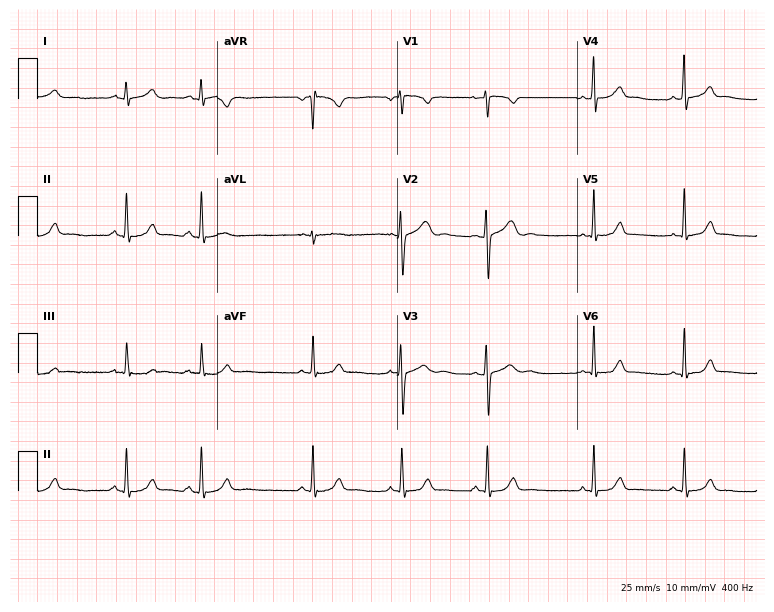
Resting 12-lead electrocardiogram. Patient: a female, 17 years old. None of these six findings is recorded: first-degree AV block, right bundle branch block, left bundle branch block, sinus bradycardia, atrial fibrillation, sinus tachycardia.